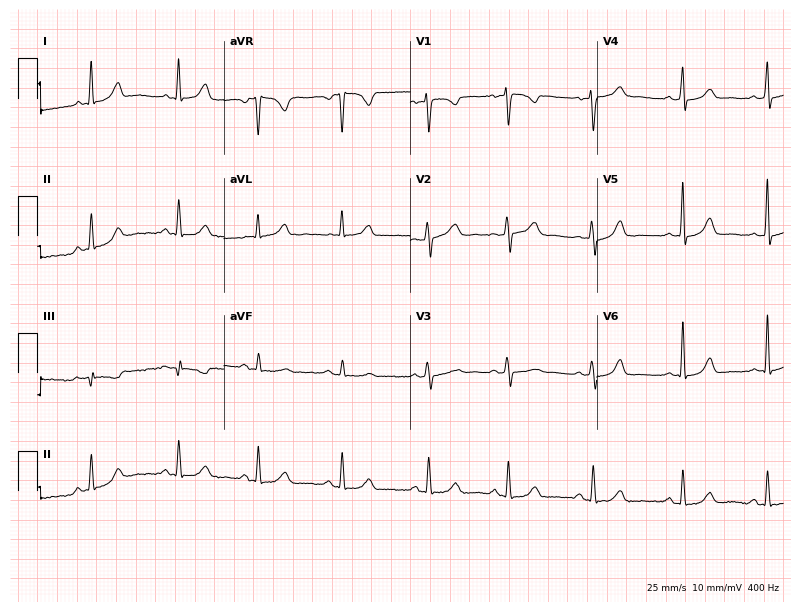
12-lead ECG from a female, 39 years old. Screened for six findings — first-degree AV block, right bundle branch block, left bundle branch block, sinus bradycardia, atrial fibrillation, sinus tachycardia — none is recorded.